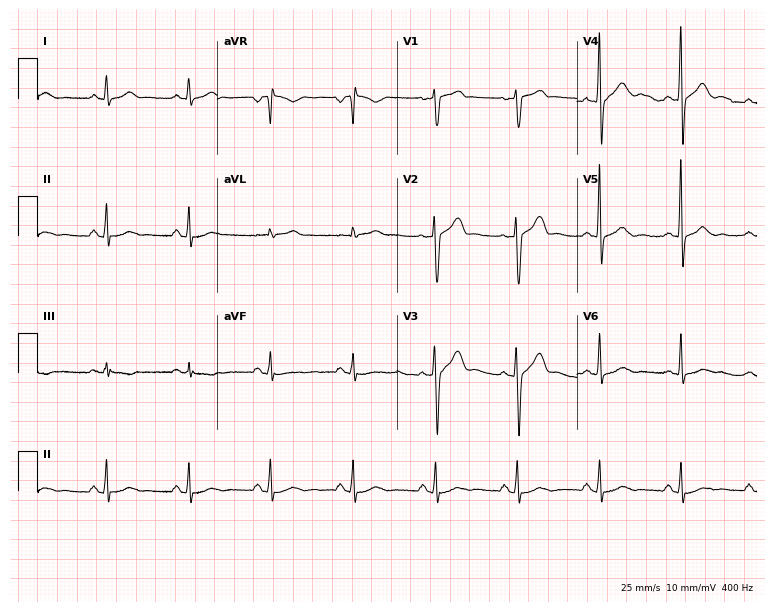
12-lead ECG from a 57-year-old male patient. Screened for six findings — first-degree AV block, right bundle branch block, left bundle branch block, sinus bradycardia, atrial fibrillation, sinus tachycardia — none is recorded. Findings outside these six are not listed.